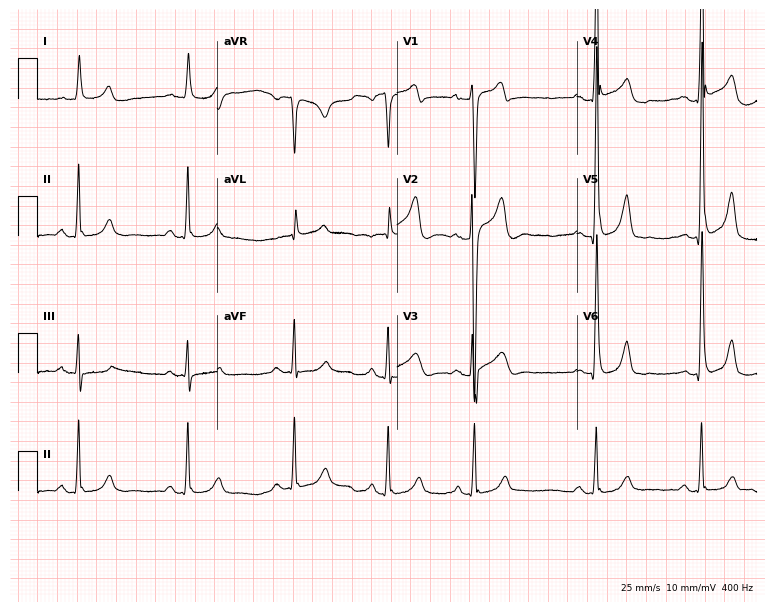
Electrocardiogram (7.3-second recording at 400 Hz), a man, 46 years old. Of the six screened findings (first-degree AV block, right bundle branch block, left bundle branch block, sinus bradycardia, atrial fibrillation, sinus tachycardia), none is recorded.